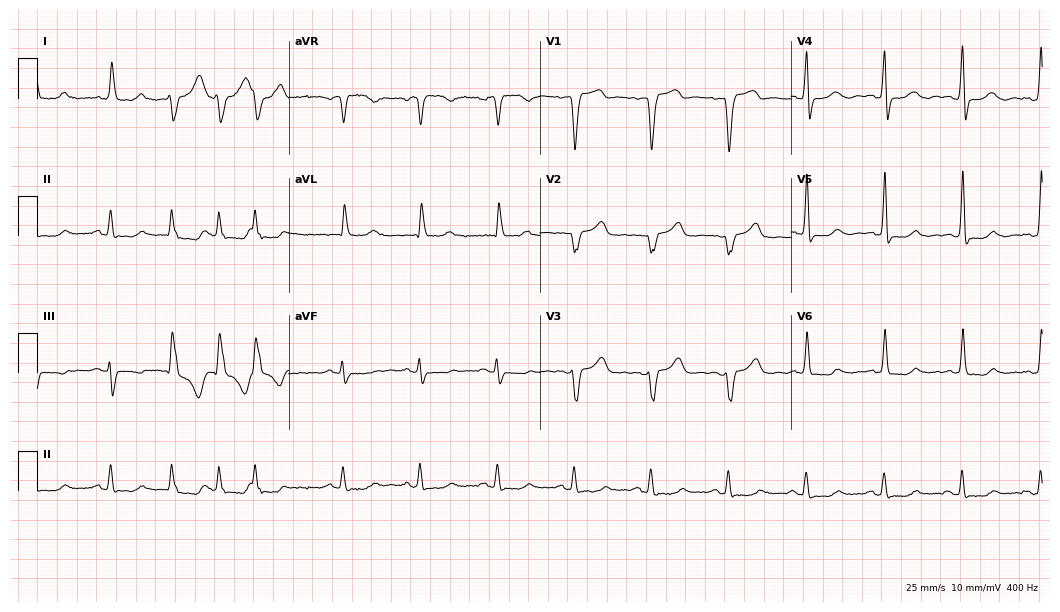
ECG (10.2-second recording at 400 Hz) — a 66-year-old female patient. Screened for six findings — first-degree AV block, right bundle branch block (RBBB), left bundle branch block (LBBB), sinus bradycardia, atrial fibrillation (AF), sinus tachycardia — none is recorded.